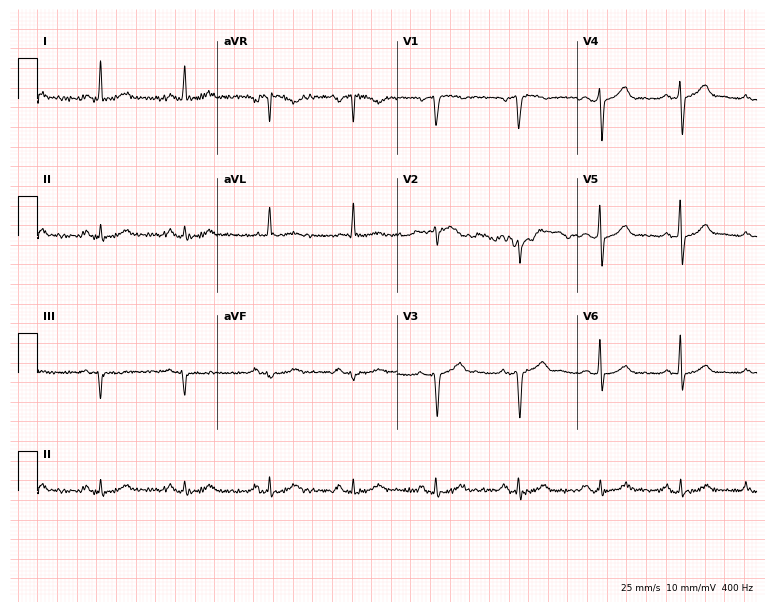
Standard 12-lead ECG recorded from a 63-year-old man (7.3-second recording at 400 Hz). Read as a normal ECG.